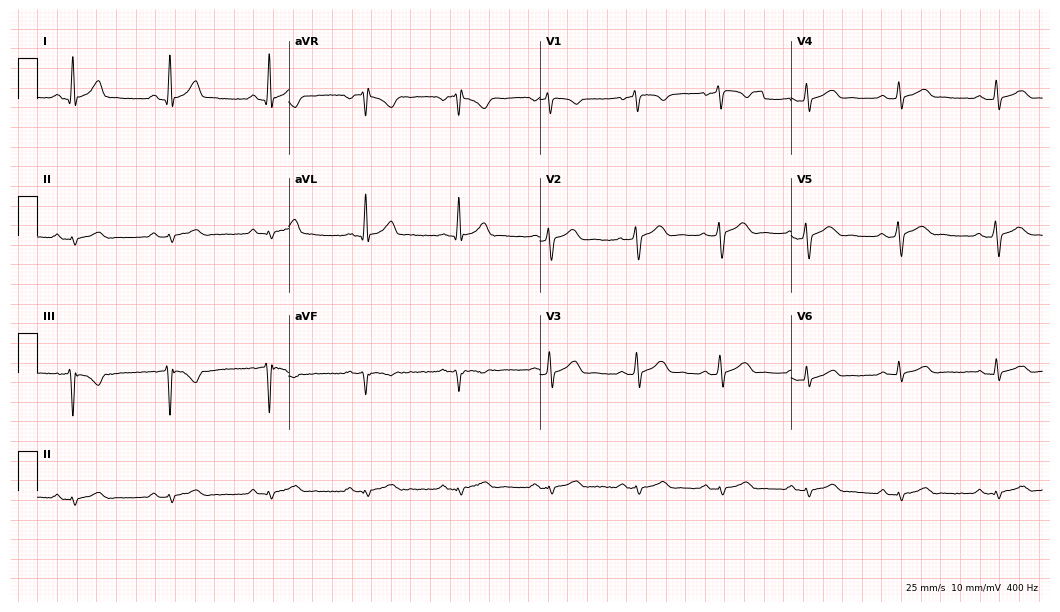
Electrocardiogram (10.2-second recording at 400 Hz), a 37-year-old man. Overall reading on record: normal ECG.